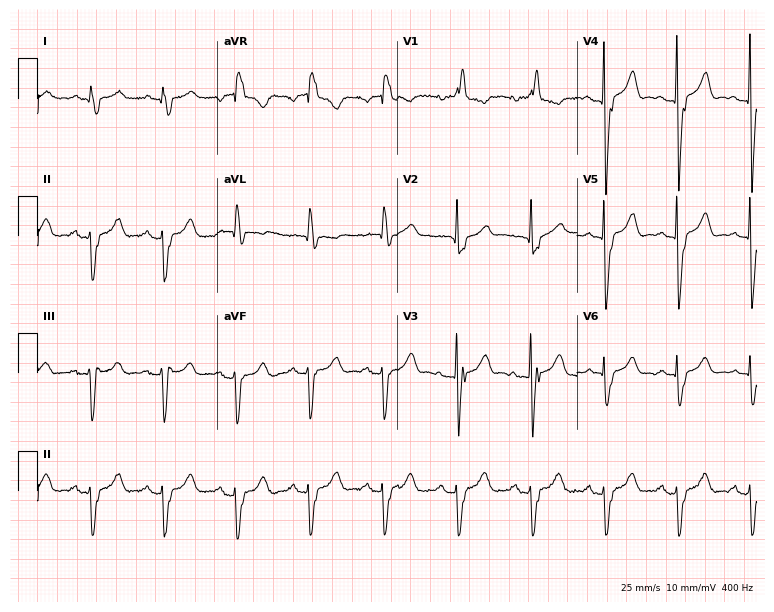
Electrocardiogram (7.3-second recording at 400 Hz), a 72-year-old female patient. Of the six screened findings (first-degree AV block, right bundle branch block, left bundle branch block, sinus bradycardia, atrial fibrillation, sinus tachycardia), none is recorded. Only these six findings were labelled.